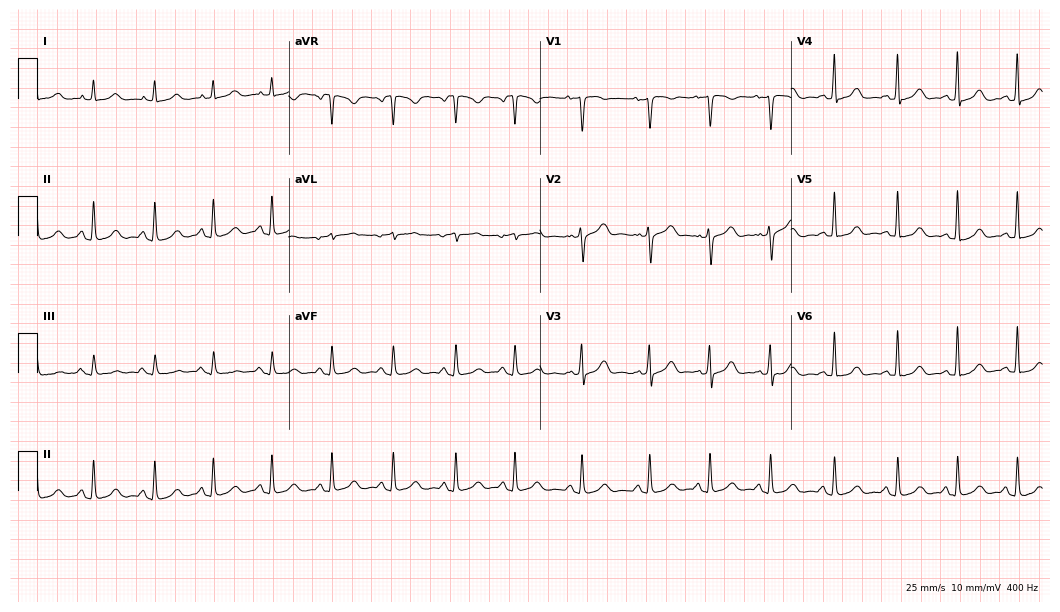
12-lead ECG (10.2-second recording at 400 Hz) from a female patient, 40 years old. Labelled as a normal ECG.